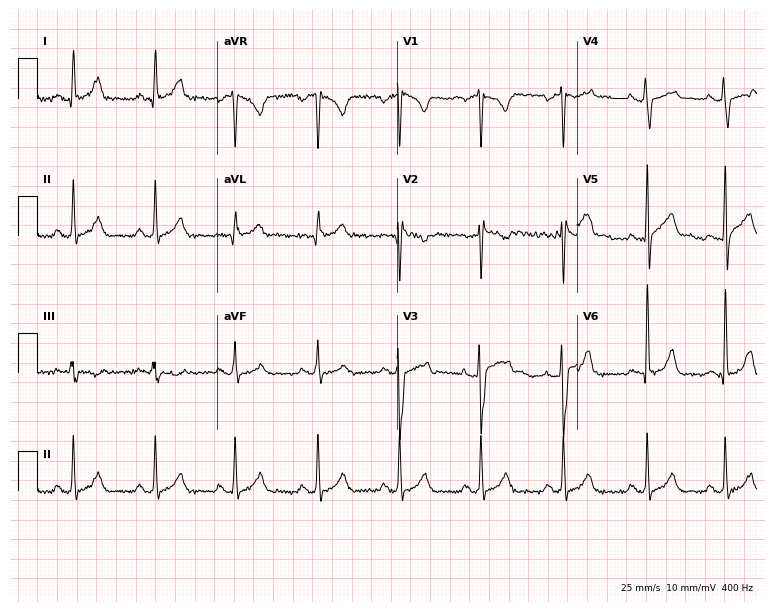
12-lead ECG (7.3-second recording at 400 Hz) from a man, 27 years old. Screened for six findings — first-degree AV block, right bundle branch block, left bundle branch block, sinus bradycardia, atrial fibrillation, sinus tachycardia — none is recorded.